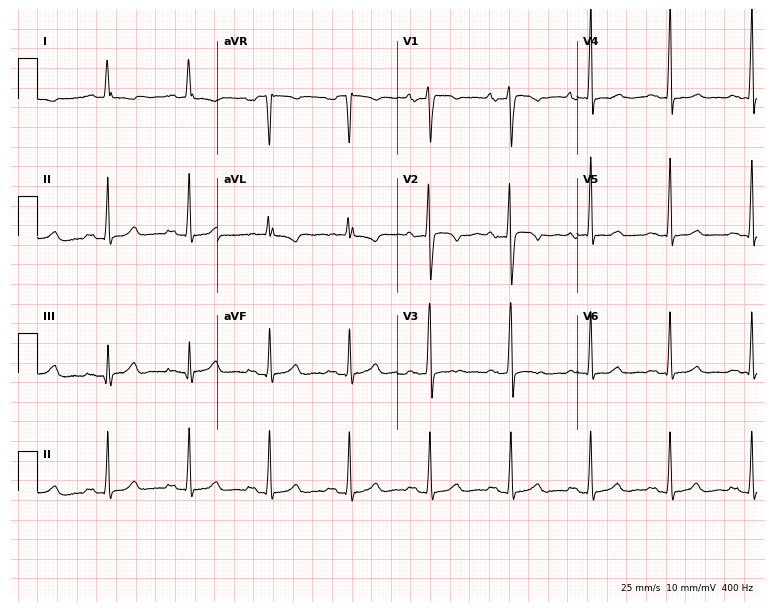
Electrocardiogram (7.3-second recording at 400 Hz), a female, 21 years old. Overall reading on record: normal ECG.